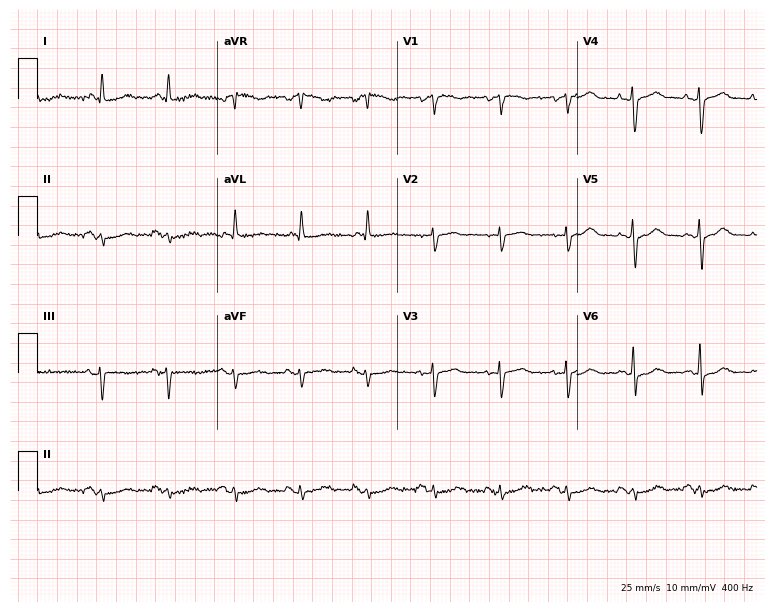
ECG (7.3-second recording at 400 Hz) — a 72-year-old female patient. Screened for six findings — first-degree AV block, right bundle branch block, left bundle branch block, sinus bradycardia, atrial fibrillation, sinus tachycardia — none is recorded.